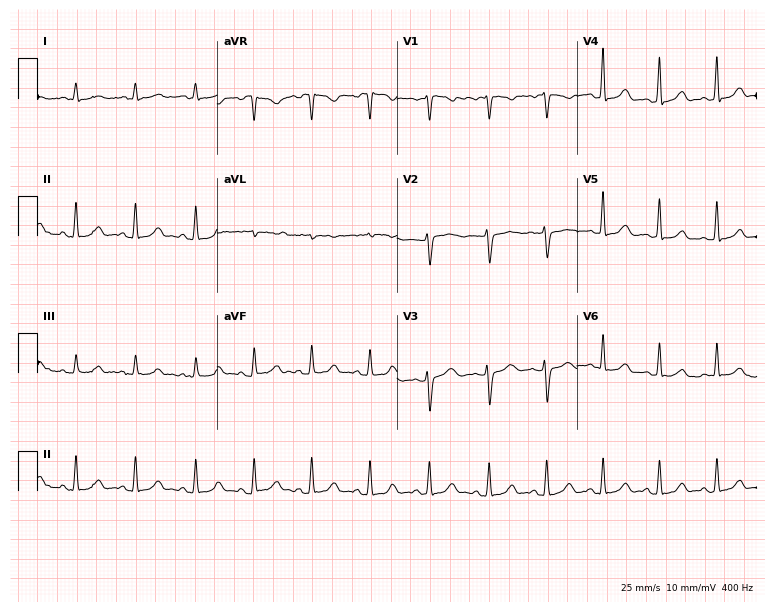
Electrocardiogram (7.3-second recording at 400 Hz), a female patient, 21 years old. Interpretation includes sinus tachycardia (a sinus rate of 100 beats per minute or more).